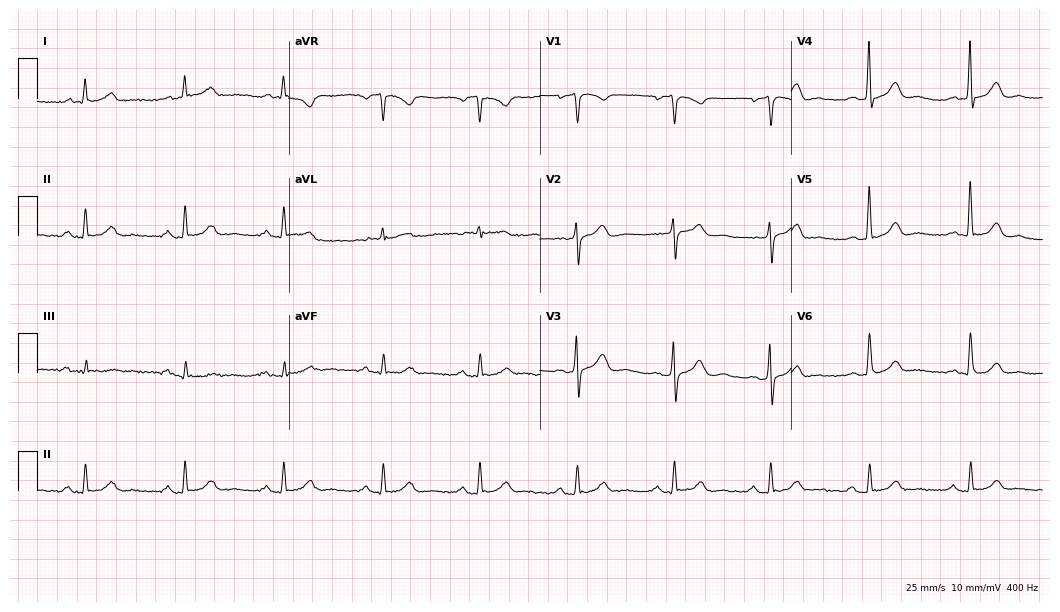
Standard 12-lead ECG recorded from a 60-year-old man (10.2-second recording at 400 Hz). Read as a normal ECG.